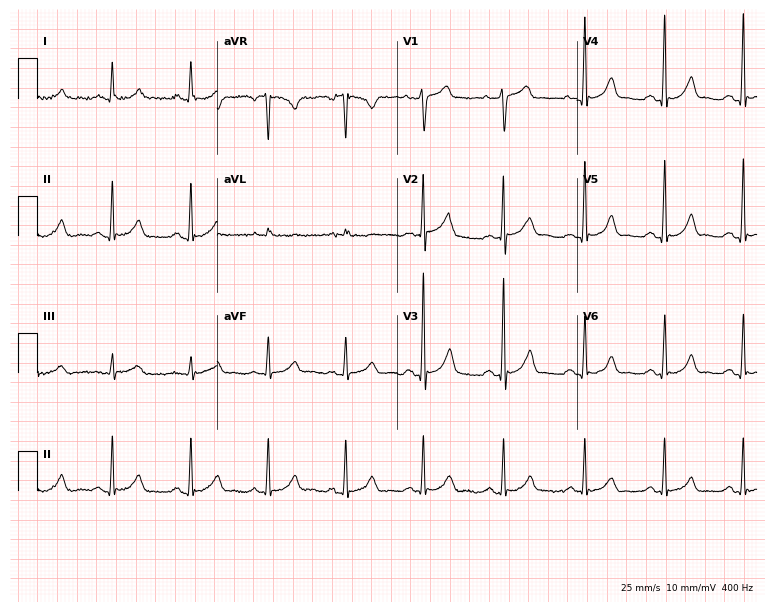
12-lead ECG from a male, 60 years old. Recorded interpretation: within normal limits.